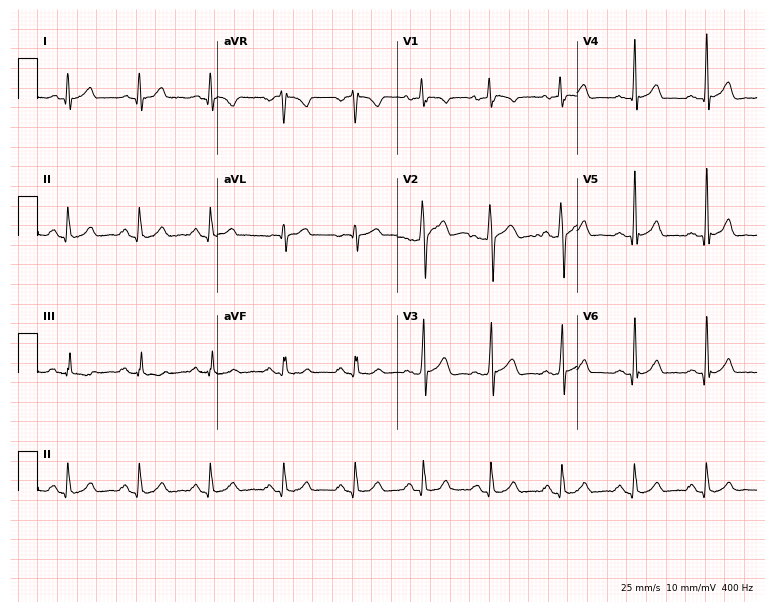
Electrocardiogram (7.3-second recording at 400 Hz), a male patient, 38 years old. Overall reading on record: normal ECG.